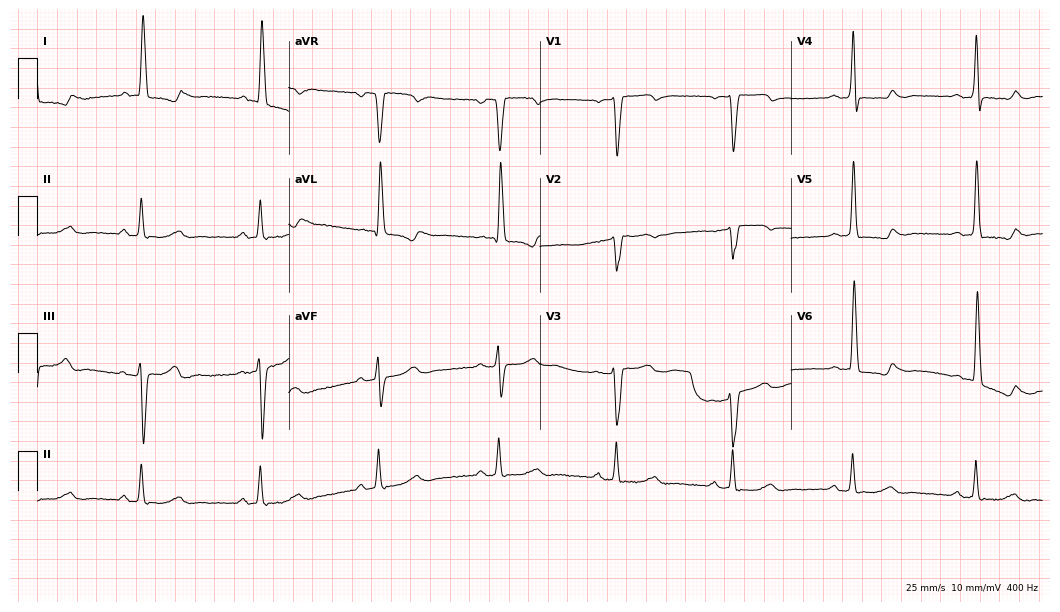
12-lead ECG from a 67-year-old woman. Screened for six findings — first-degree AV block, right bundle branch block (RBBB), left bundle branch block (LBBB), sinus bradycardia, atrial fibrillation (AF), sinus tachycardia — none is recorded. Only these six findings were labelled.